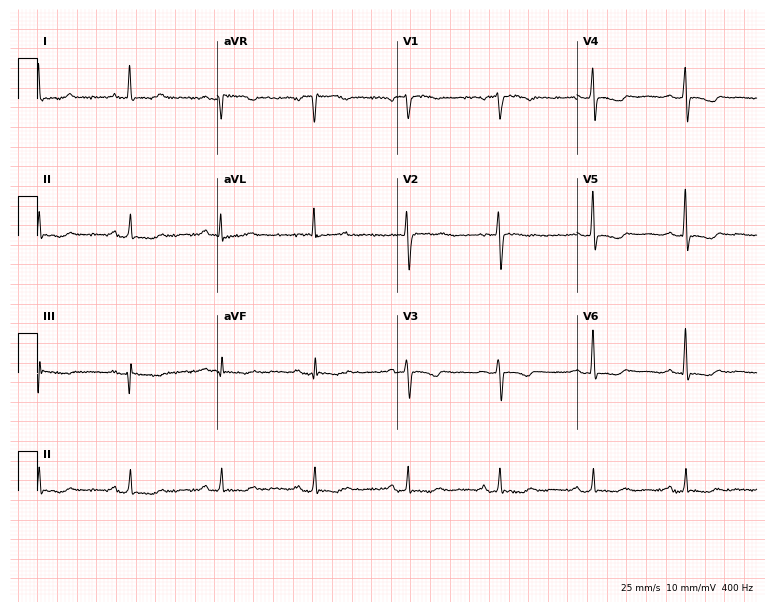
12-lead ECG from a woman, 73 years old. No first-degree AV block, right bundle branch block, left bundle branch block, sinus bradycardia, atrial fibrillation or sinus tachycardia recorded for this tracing. Other findings, if any, are not listed.